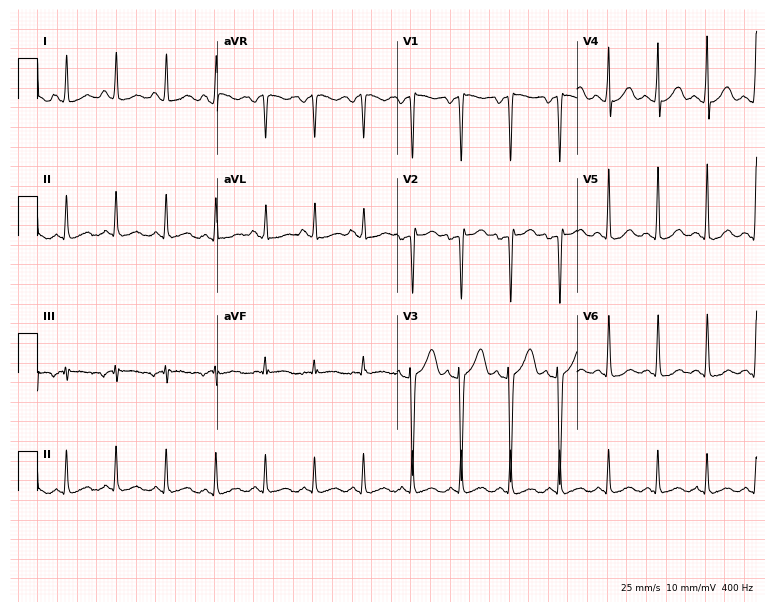
12-lead ECG from a 38-year-old man (7.3-second recording at 400 Hz). Shows sinus tachycardia (a sinus rate of 100 beats per minute or more).